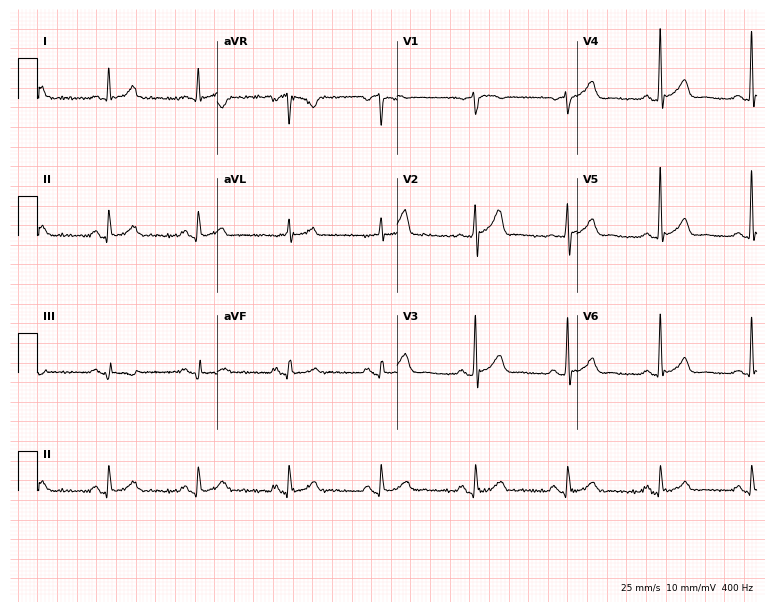
Standard 12-lead ECG recorded from a male, 67 years old (7.3-second recording at 400 Hz). Read as a normal ECG.